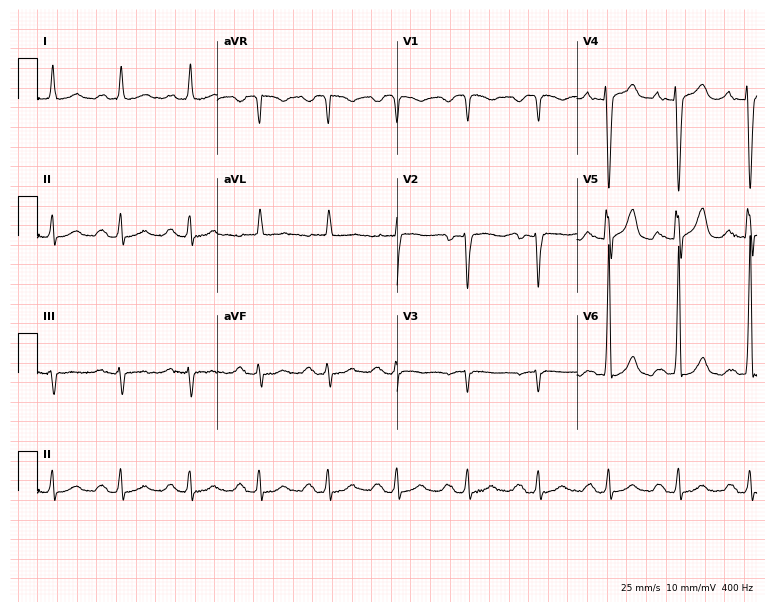
12-lead ECG from a 69-year-old male (7.3-second recording at 400 Hz). Shows first-degree AV block.